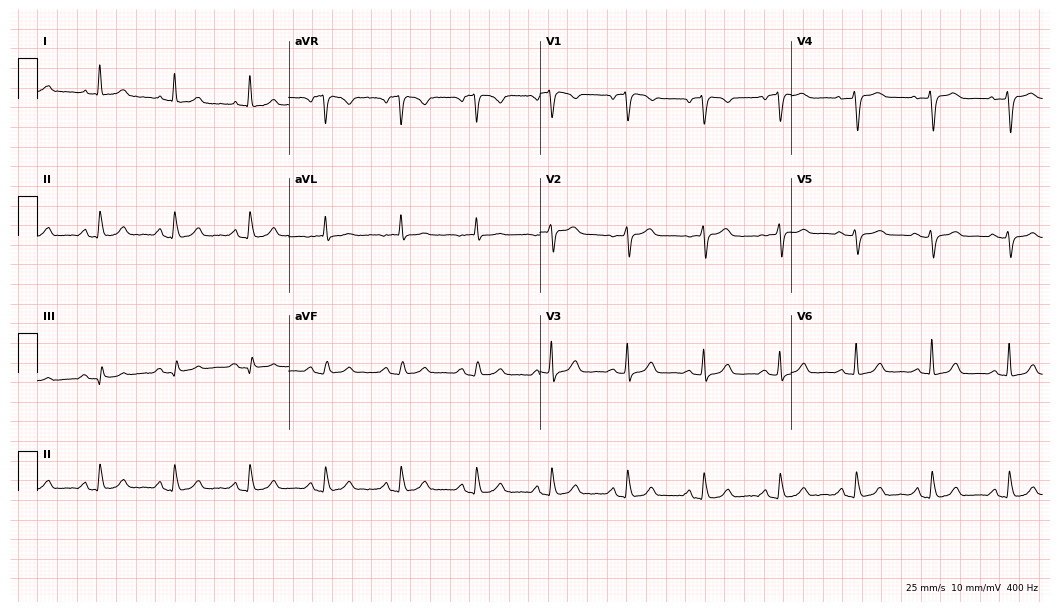
ECG — a 74-year-old female. Screened for six findings — first-degree AV block, right bundle branch block, left bundle branch block, sinus bradycardia, atrial fibrillation, sinus tachycardia — none is recorded. Other findings, if any, are not listed.